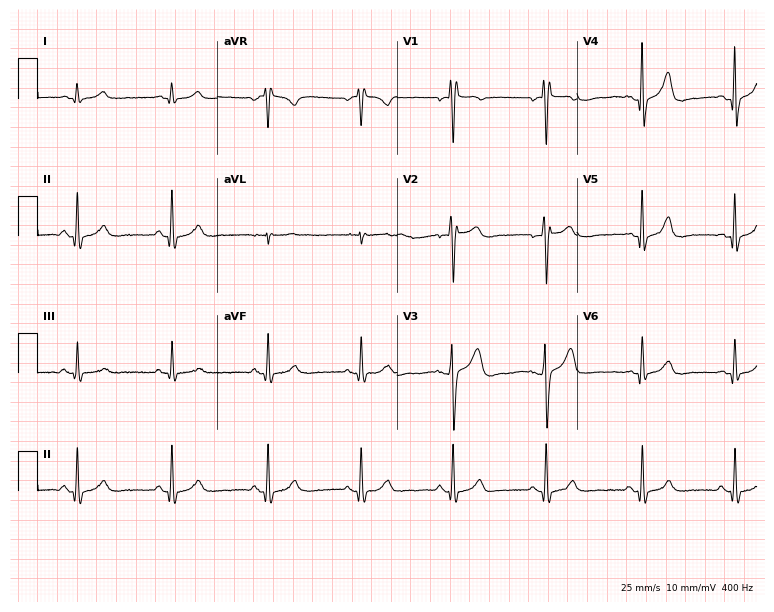
12-lead ECG from a 32-year-old male. Labelled as a normal ECG.